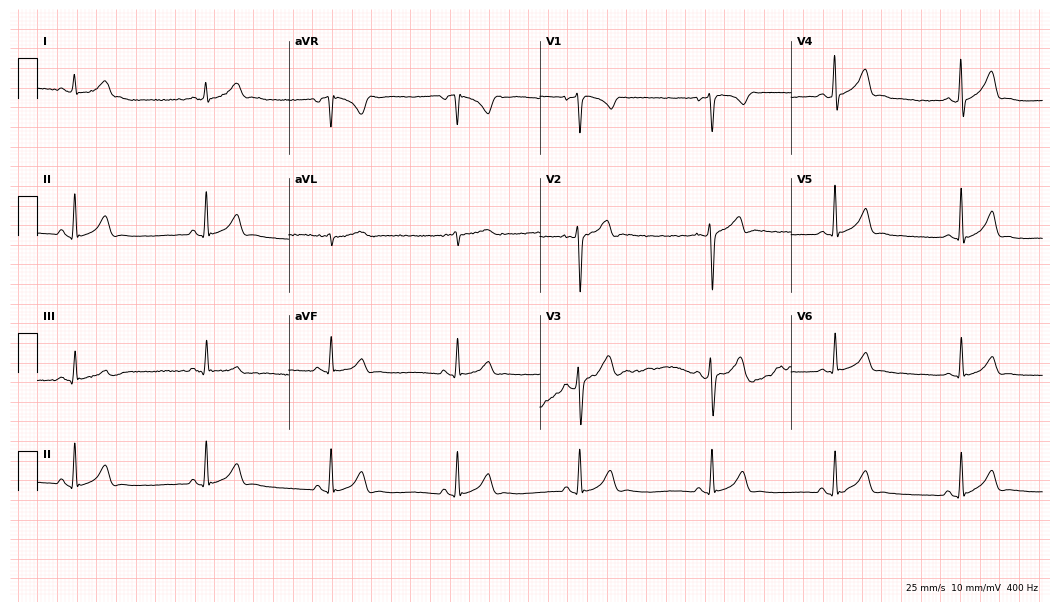
12-lead ECG from a man, 29 years old. Screened for six findings — first-degree AV block, right bundle branch block, left bundle branch block, sinus bradycardia, atrial fibrillation, sinus tachycardia — none is recorded.